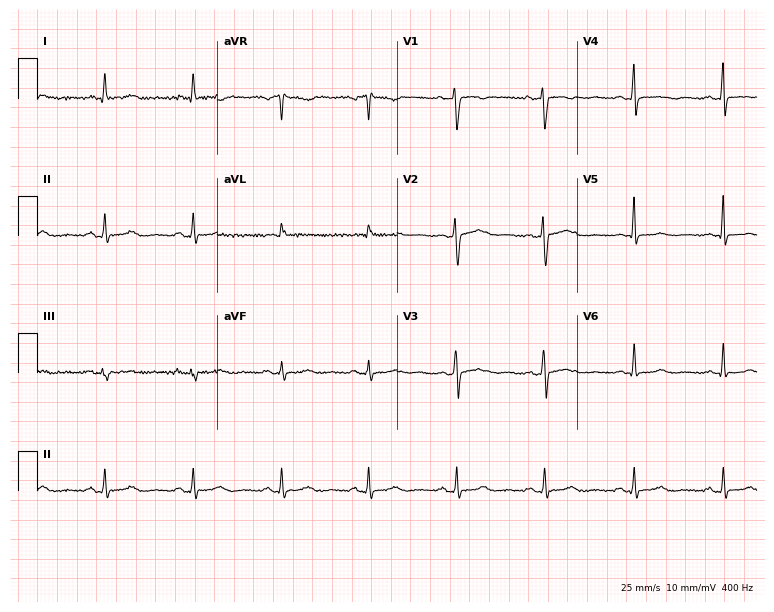
12-lead ECG from a woman, 54 years old. Labelled as a normal ECG.